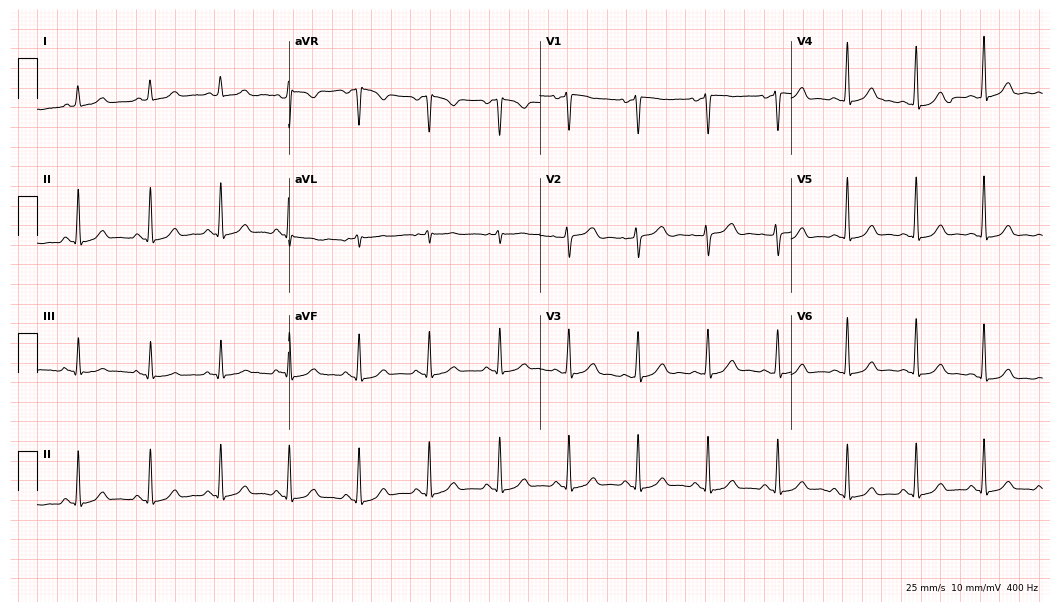
Standard 12-lead ECG recorded from a woman, 48 years old (10.2-second recording at 400 Hz). Read as a normal ECG.